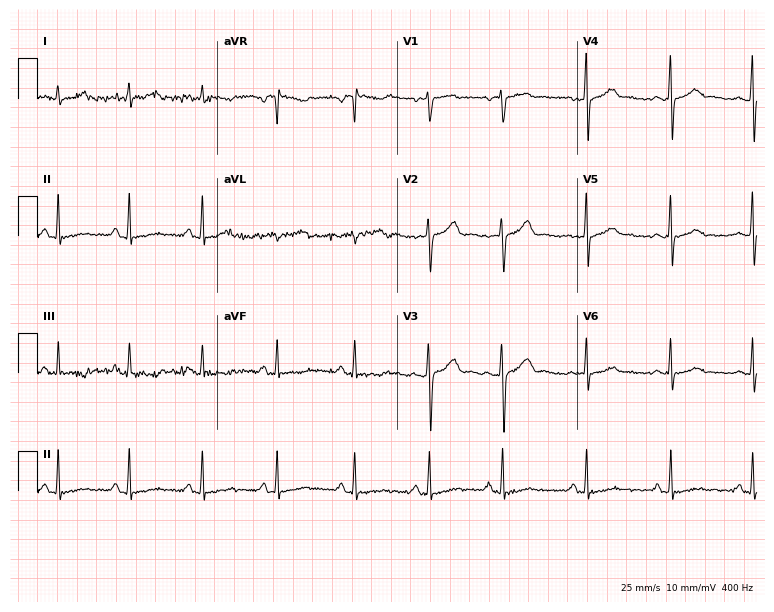
Standard 12-lead ECG recorded from a 32-year-old female (7.3-second recording at 400 Hz). Read as a normal ECG.